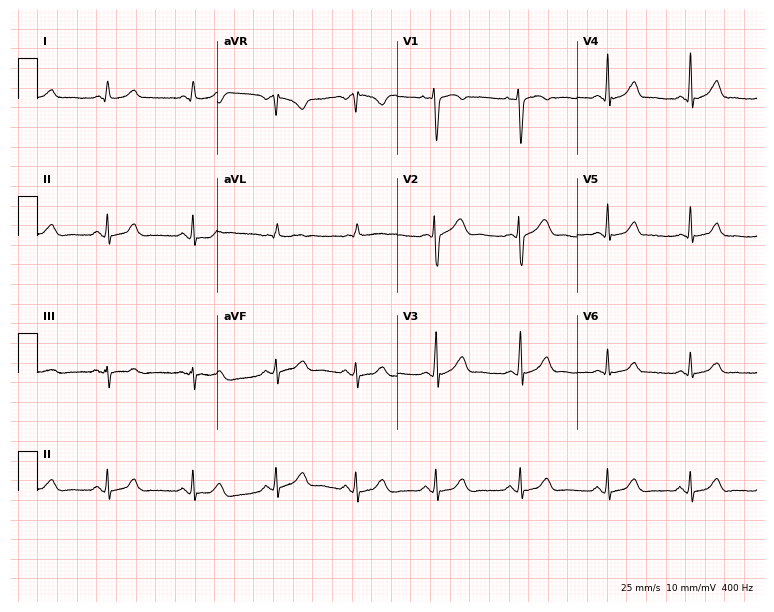
Electrocardiogram (7.3-second recording at 400 Hz), a female, 36 years old. Of the six screened findings (first-degree AV block, right bundle branch block (RBBB), left bundle branch block (LBBB), sinus bradycardia, atrial fibrillation (AF), sinus tachycardia), none is recorded. Other findings, if any, are not listed.